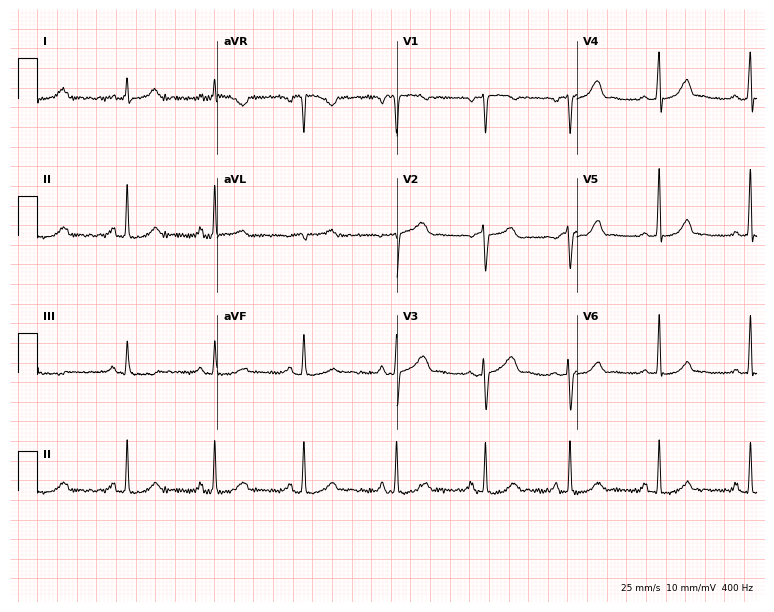
Resting 12-lead electrocardiogram. Patient: a female, 41 years old. Read as a normal ECG.